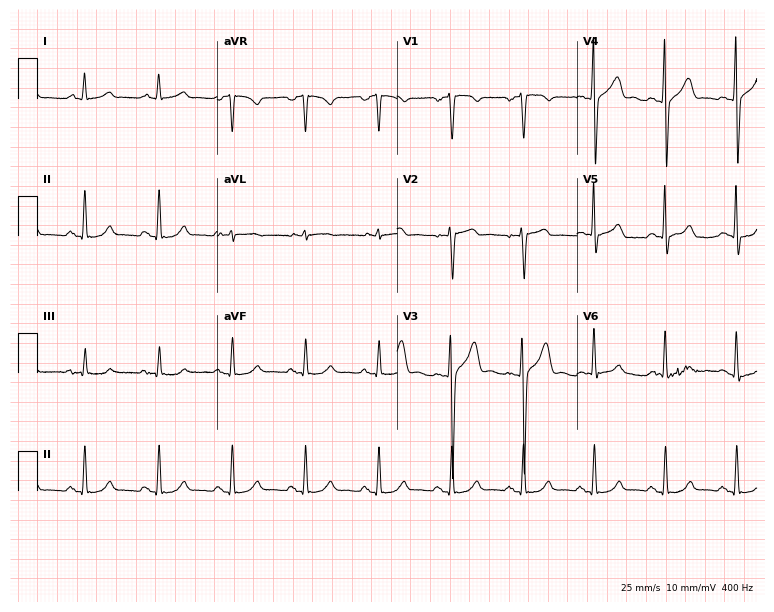
12-lead ECG from a 61-year-old male (7.3-second recording at 400 Hz). Recorded interpretation: within normal limits.